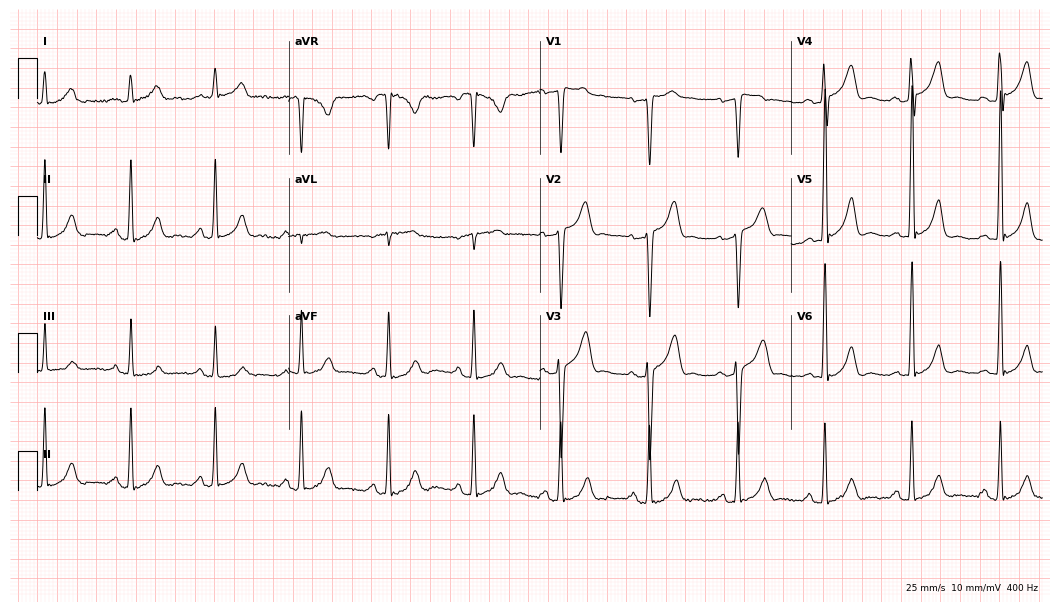
12-lead ECG from a male patient, 59 years old. Screened for six findings — first-degree AV block, right bundle branch block, left bundle branch block, sinus bradycardia, atrial fibrillation, sinus tachycardia — none is recorded.